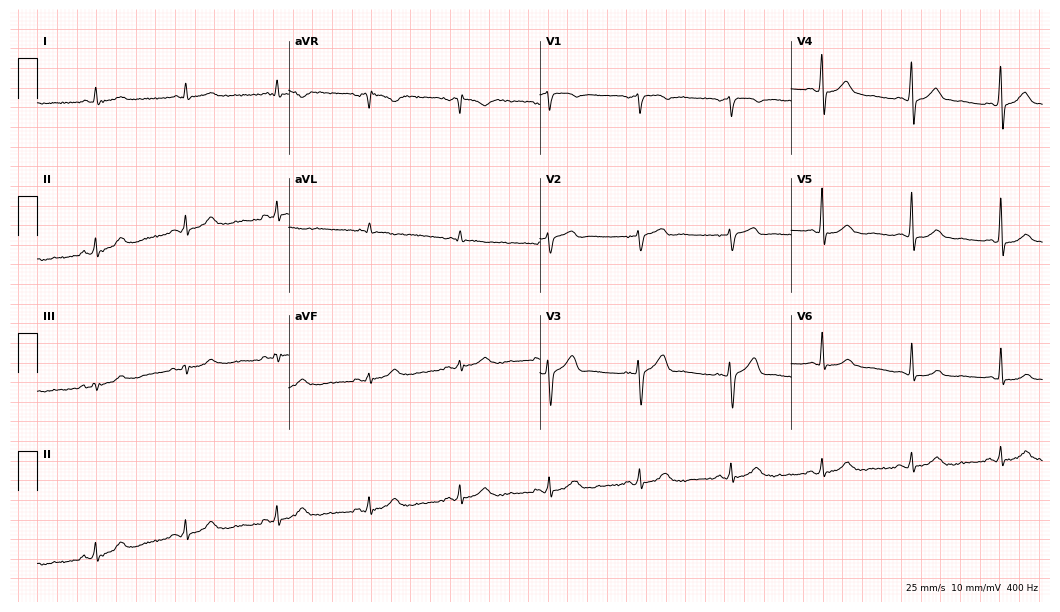
Resting 12-lead electrocardiogram. Patient: a 59-year-old male. Read as a normal ECG.